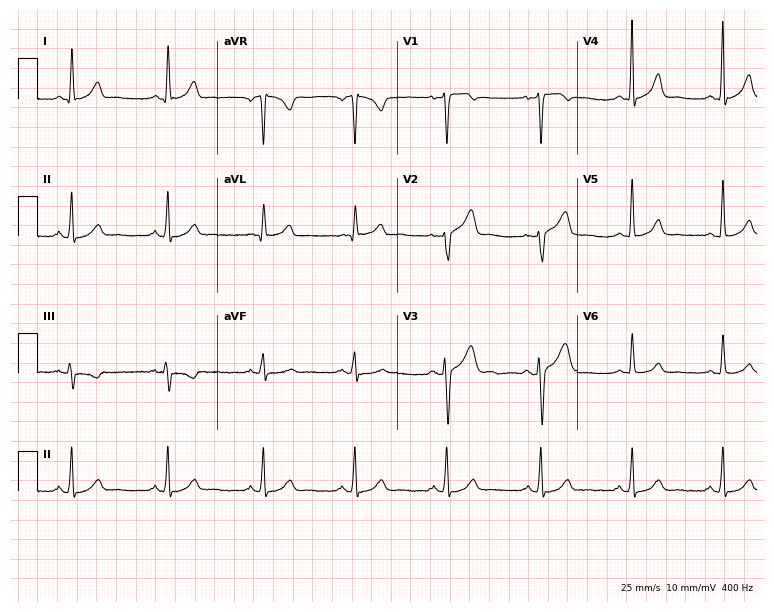
12-lead ECG from a 38-year-old woman (7.3-second recording at 400 Hz). Recorded interpretation: within normal limits.